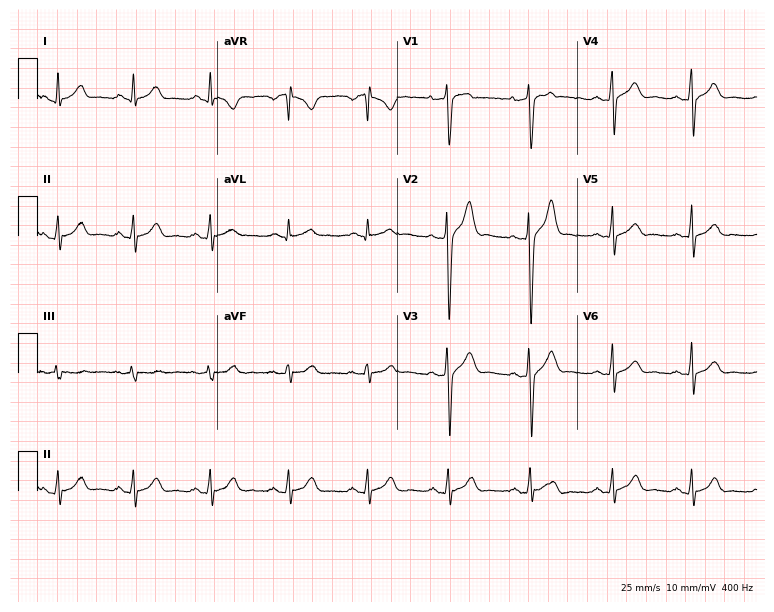
Electrocardiogram (7.3-second recording at 400 Hz), a male, 27 years old. Overall reading on record: normal ECG.